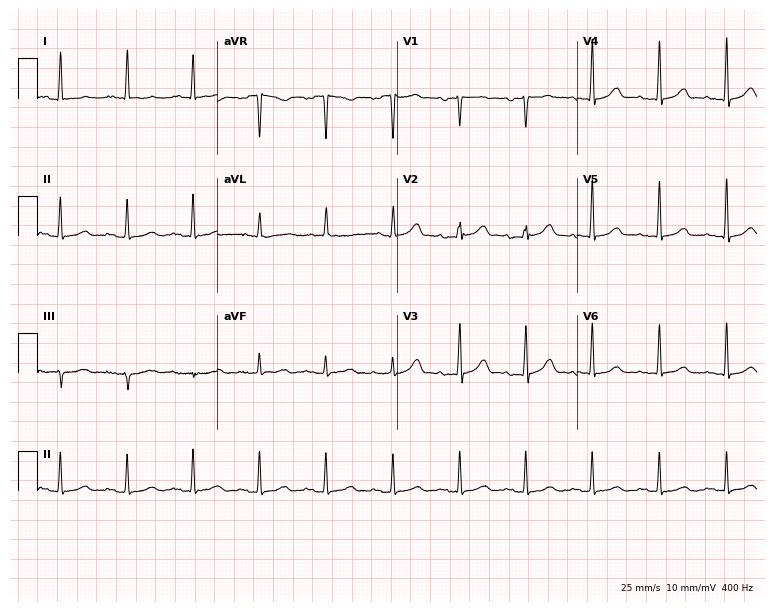
12-lead ECG from a female, 70 years old. Screened for six findings — first-degree AV block, right bundle branch block, left bundle branch block, sinus bradycardia, atrial fibrillation, sinus tachycardia — none is recorded. Other findings, if any, are not listed.